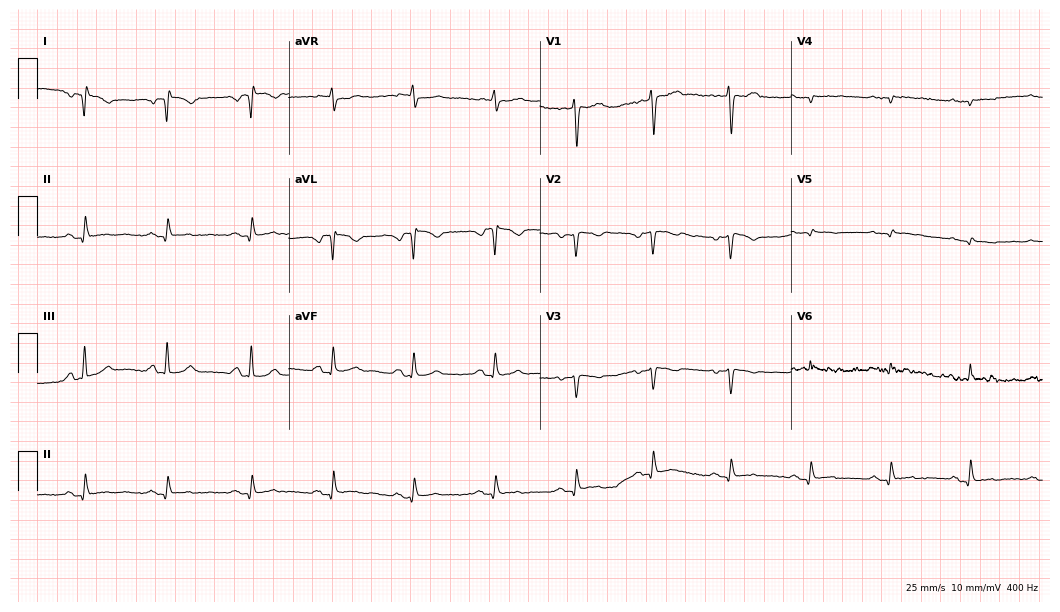
Standard 12-lead ECG recorded from a female patient, 58 years old (10.2-second recording at 400 Hz). None of these six findings is recorded: first-degree AV block, right bundle branch block, left bundle branch block, sinus bradycardia, atrial fibrillation, sinus tachycardia.